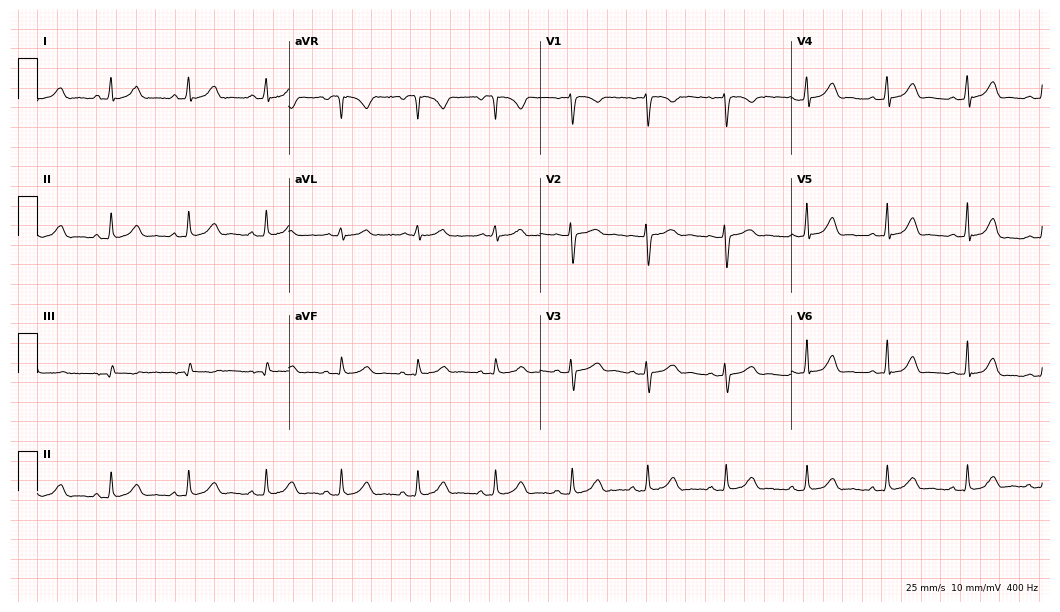
Resting 12-lead electrocardiogram. Patient: a 40-year-old female. Read as a normal ECG.